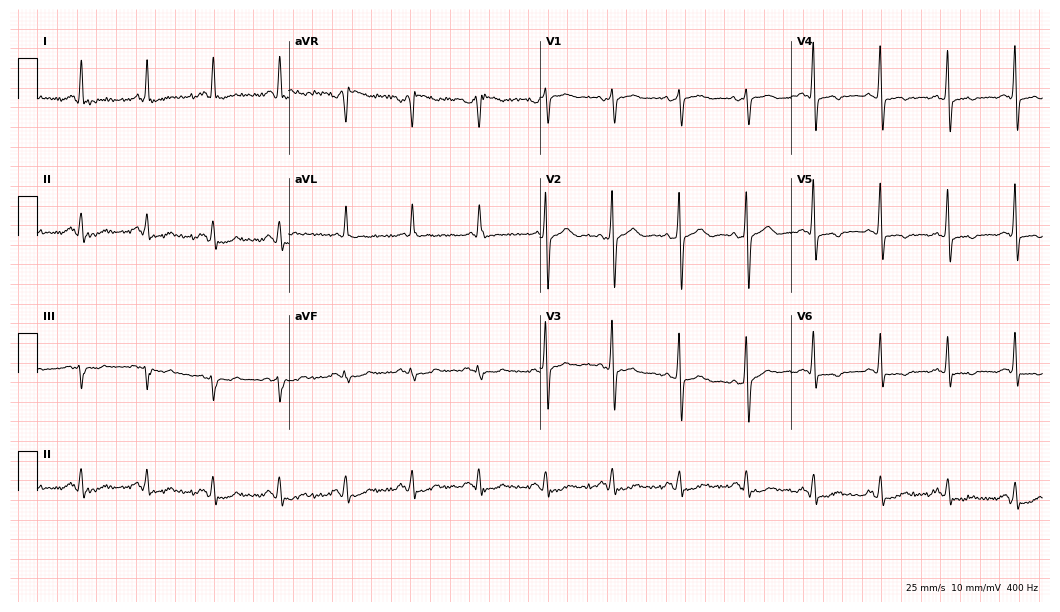
12-lead ECG from a woman, 60 years old. No first-degree AV block, right bundle branch block (RBBB), left bundle branch block (LBBB), sinus bradycardia, atrial fibrillation (AF) or sinus tachycardia recorded for this tracing. Only these six findings were labelled.